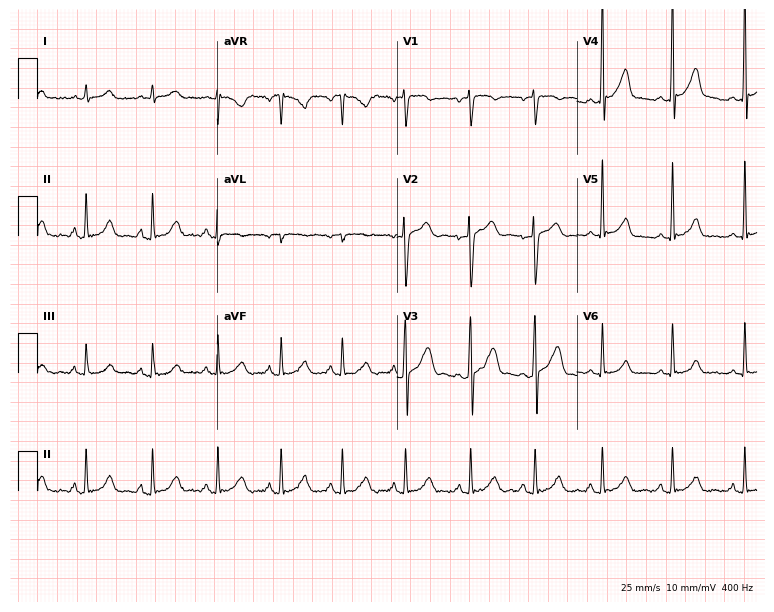
12-lead ECG from a man, 30 years old (7.3-second recording at 400 Hz). Recorded interpretation: within normal limits.